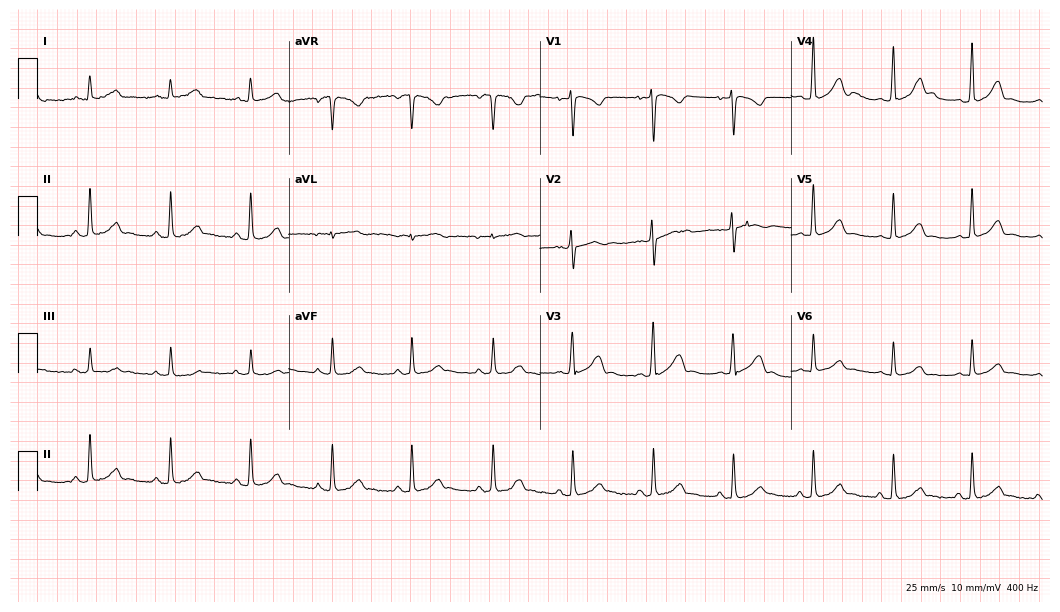
Standard 12-lead ECG recorded from a 30-year-old female patient (10.2-second recording at 400 Hz). Read as a normal ECG.